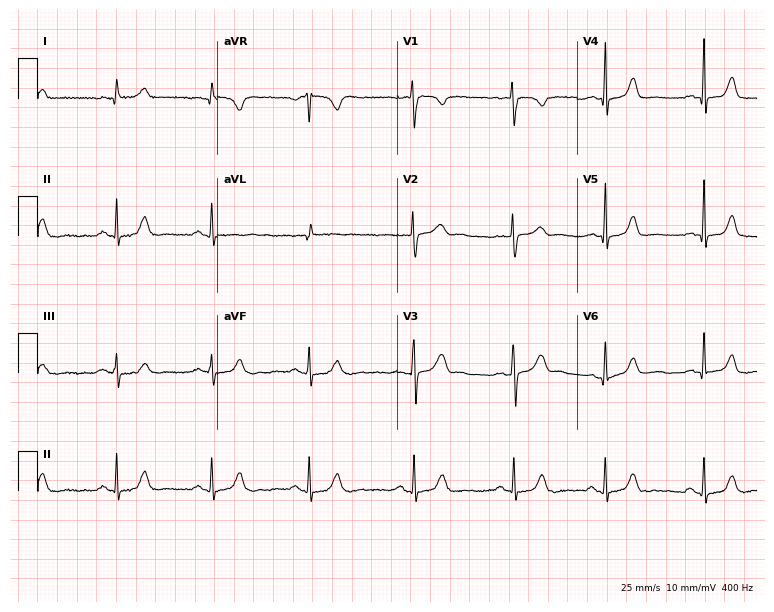
Standard 12-lead ECG recorded from a 35-year-old female patient. Read as a normal ECG.